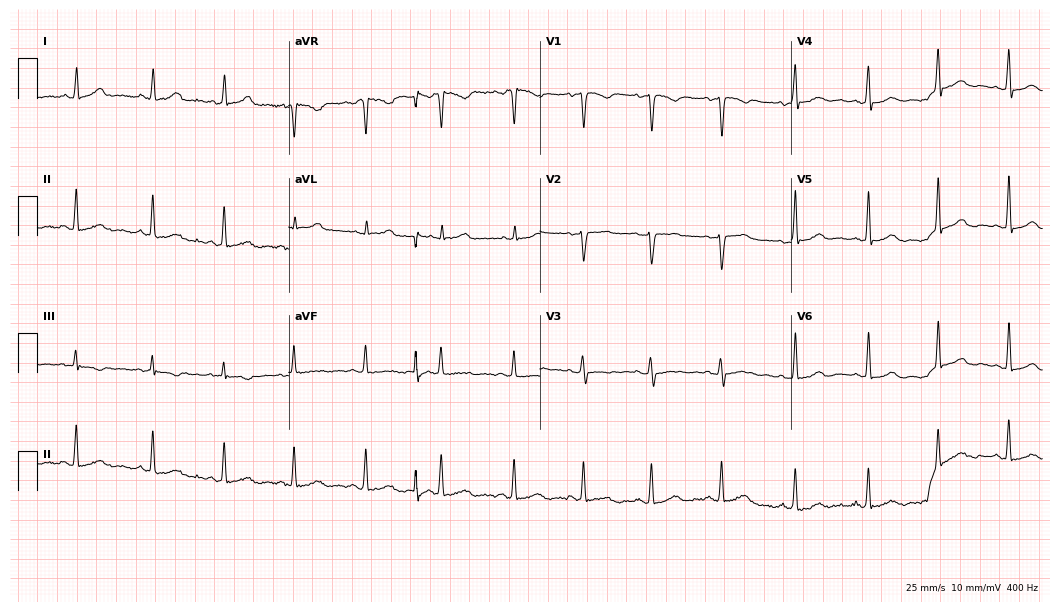
ECG (10.2-second recording at 400 Hz) — a female patient, 28 years old. Labelled as a normal ECG.